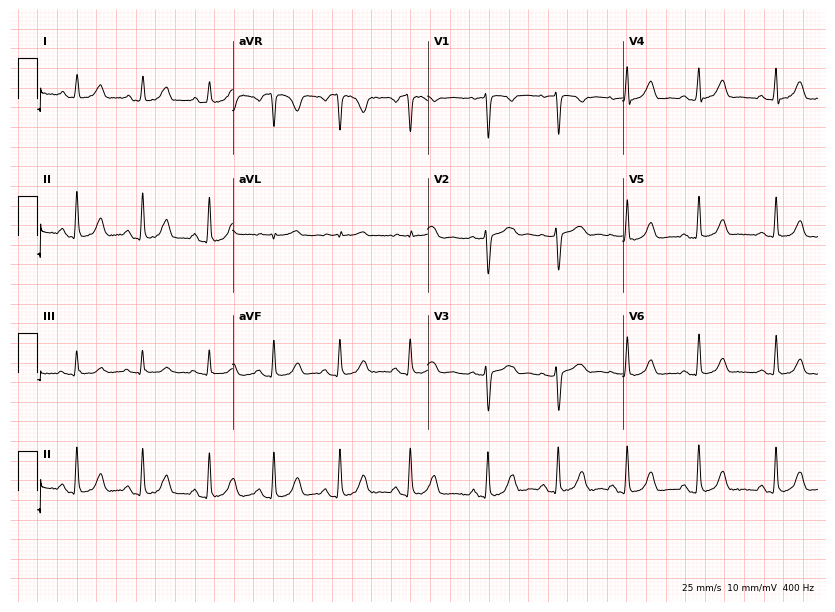
Standard 12-lead ECG recorded from a woman, 34 years old. Read as a normal ECG.